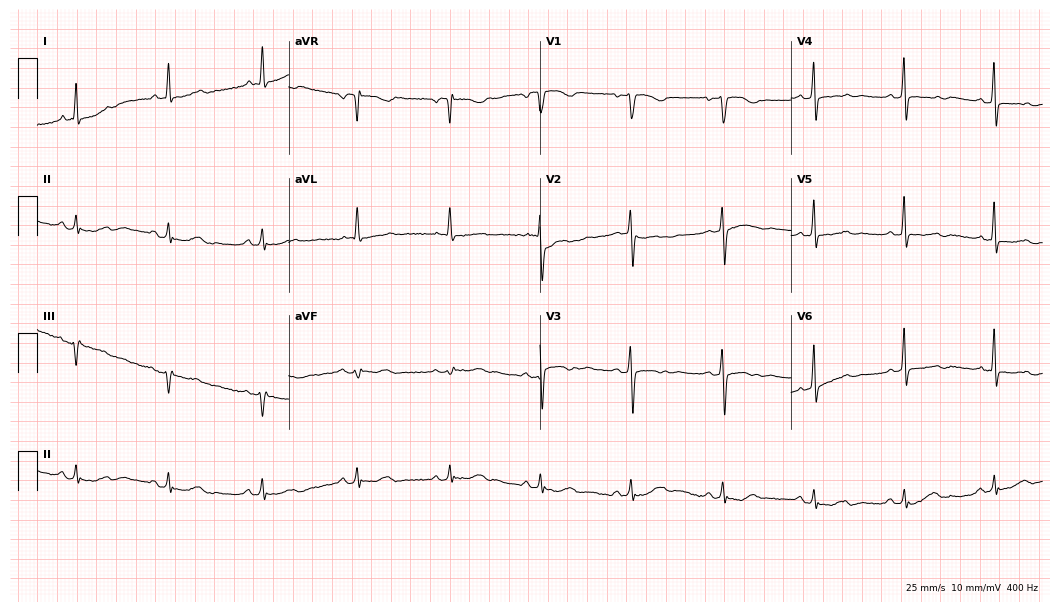
Electrocardiogram (10.2-second recording at 400 Hz), a 58-year-old female patient. Overall reading on record: normal ECG.